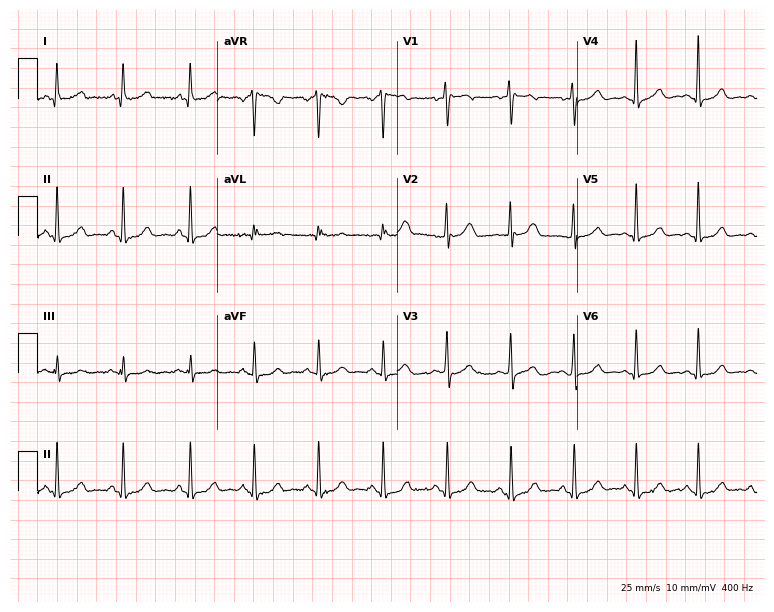
Resting 12-lead electrocardiogram (7.3-second recording at 400 Hz). Patient: a female, 52 years old. Read as a normal ECG.